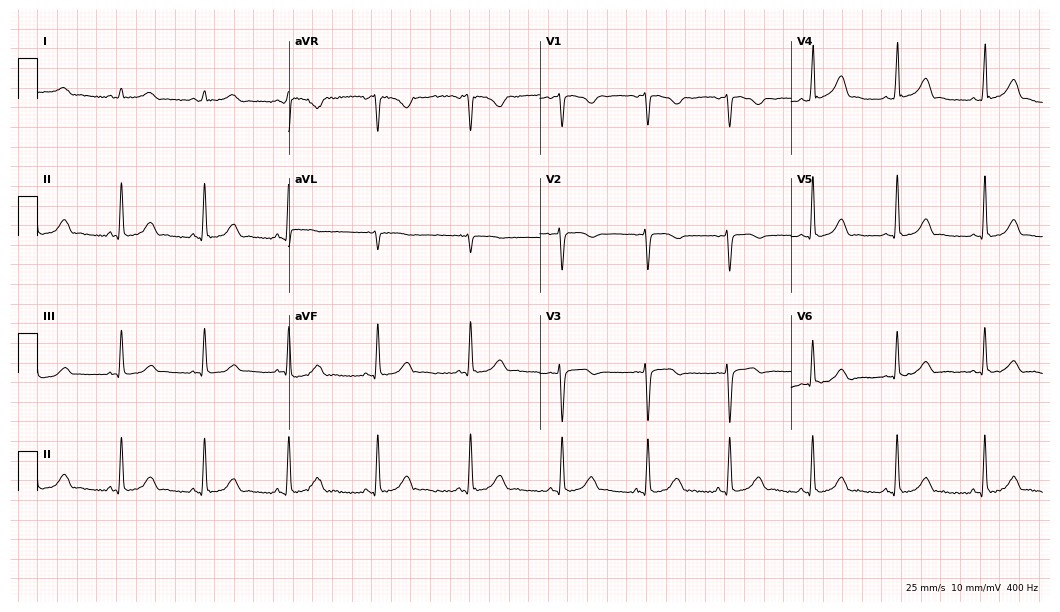
Standard 12-lead ECG recorded from a woman, 43 years old. Read as a normal ECG.